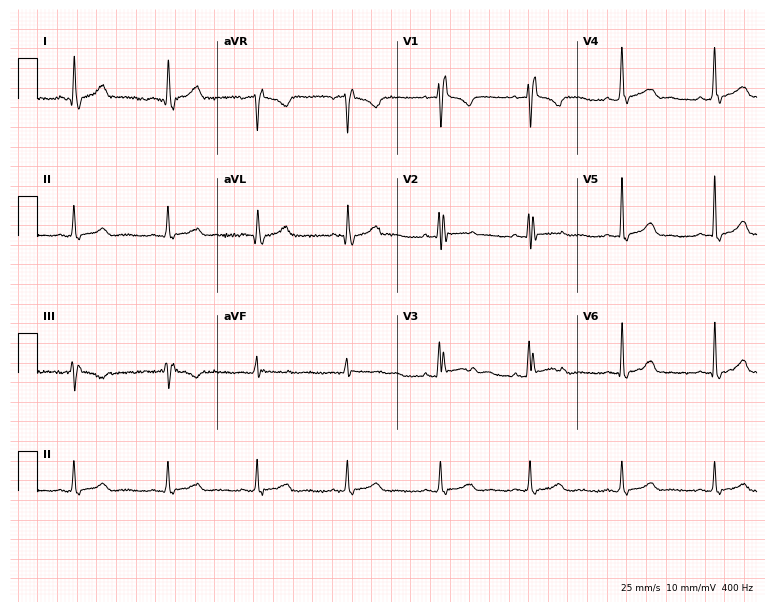
ECG — a 40-year-old female. Findings include right bundle branch block.